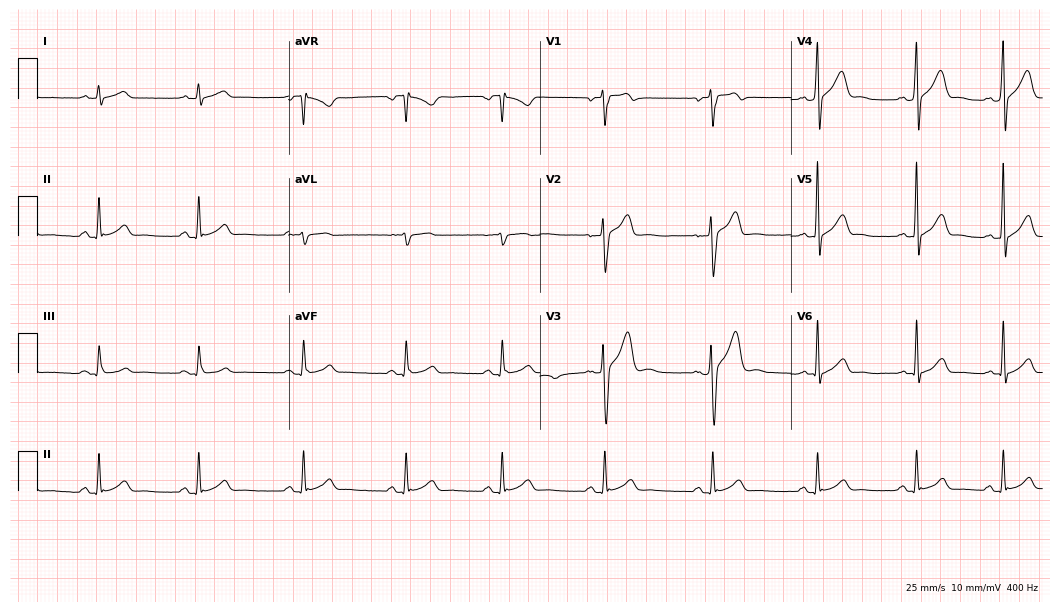
12-lead ECG (10.2-second recording at 400 Hz) from a male, 29 years old. Labelled as a normal ECG.